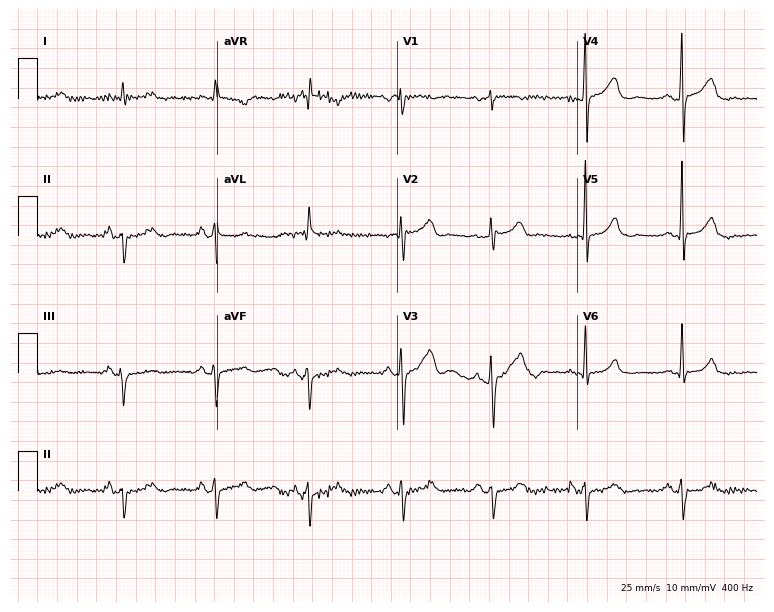
Standard 12-lead ECG recorded from a man, 48 years old. None of these six findings is recorded: first-degree AV block, right bundle branch block (RBBB), left bundle branch block (LBBB), sinus bradycardia, atrial fibrillation (AF), sinus tachycardia.